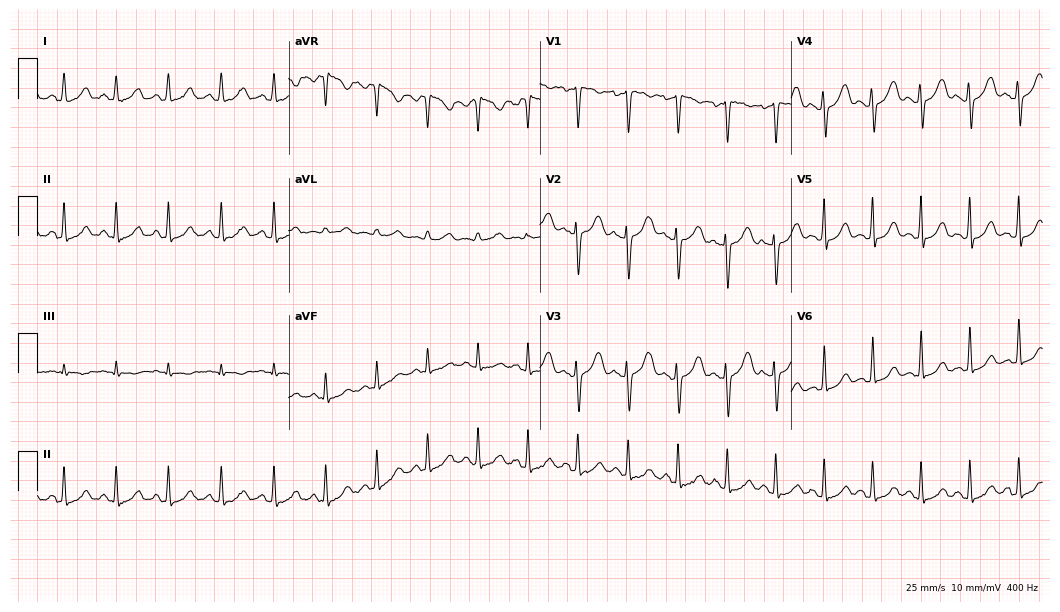
ECG (10.2-second recording at 400 Hz) — a 28-year-old female. Findings include sinus tachycardia (a sinus rate of 100 beats per minute or more).